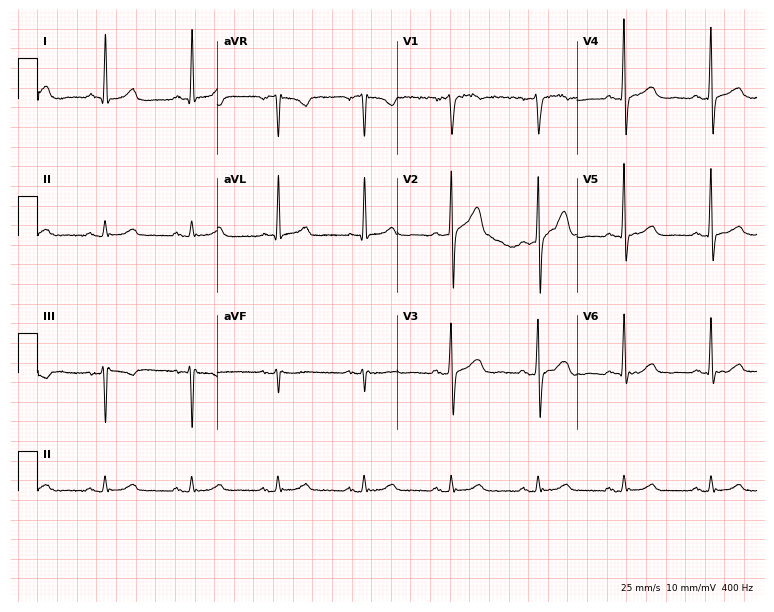
Resting 12-lead electrocardiogram. Patient: a male, 49 years old. Read as a normal ECG.